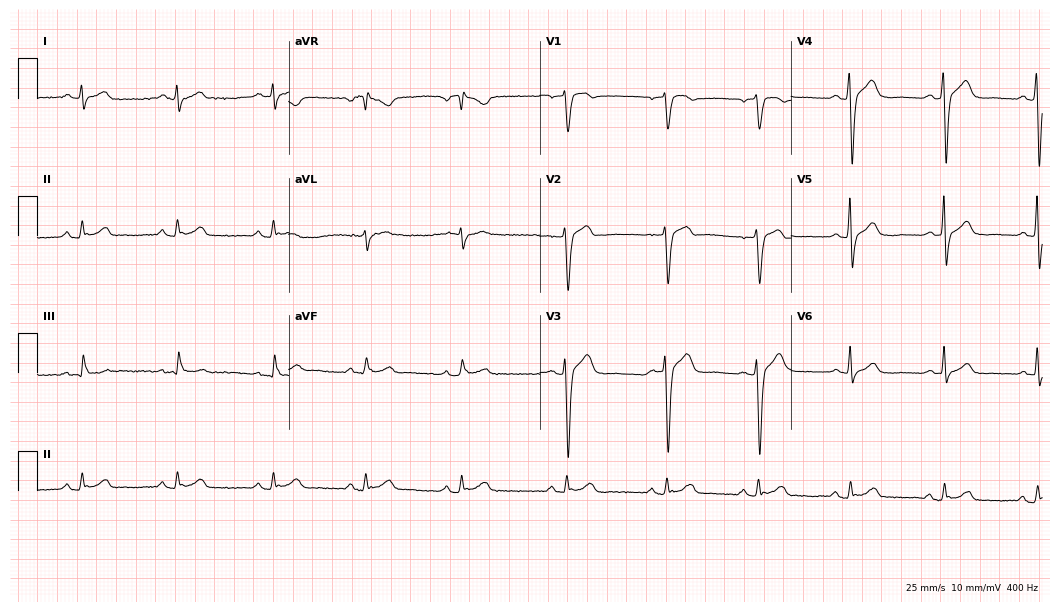
Standard 12-lead ECG recorded from a 41-year-old male (10.2-second recording at 400 Hz). None of these six findings is recorded: first-degree AV block, right bundle branch block, left bundle branch block, sinus bradycardia, atrial fibrillation, sinus tachycardia.